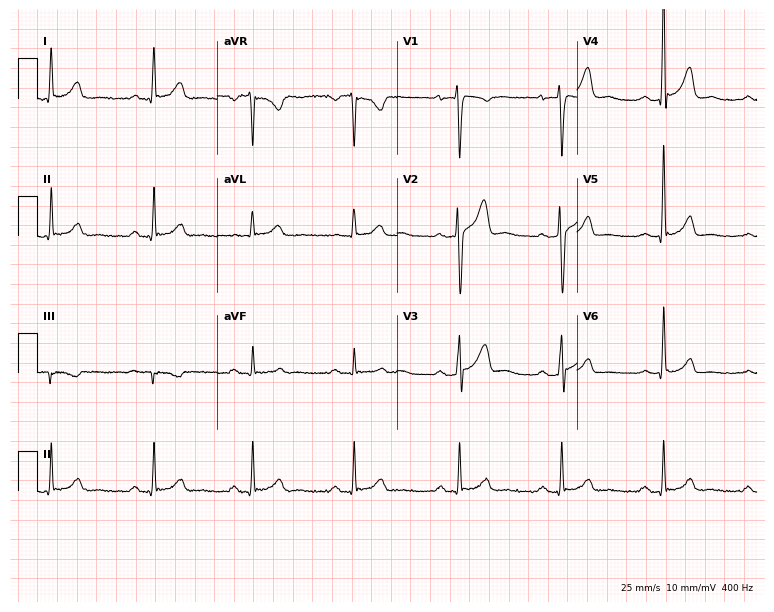
Resting 12-lead electrocardiogram (7.3-second recording at 400 Hz). Patient: a 41-year-old man. Read as a normal ECG.